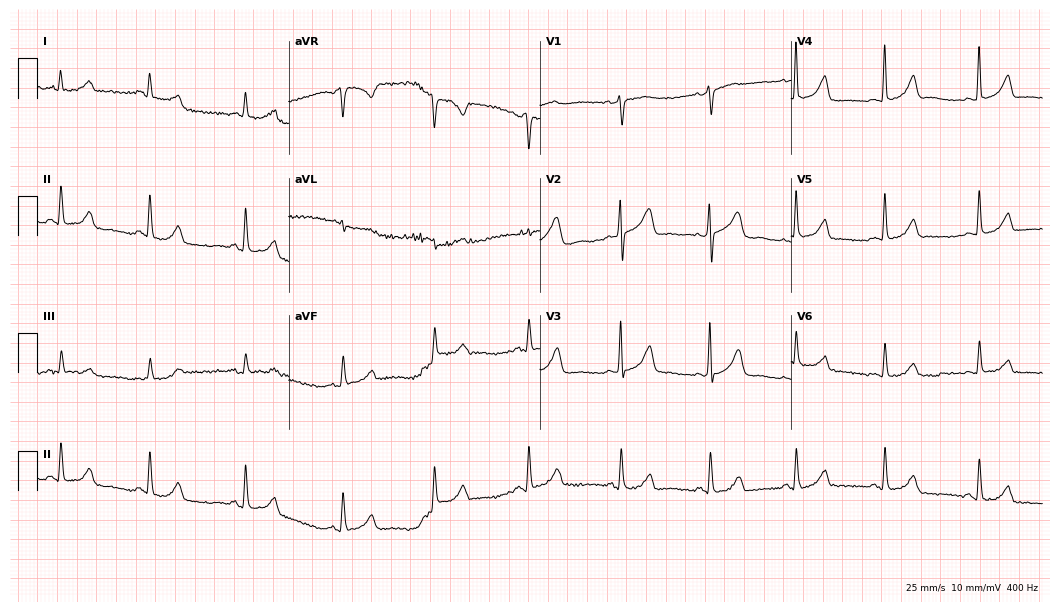
ECG (10.2-second recording at 400 Hz) — a woman, 57 years old. Screened for six findings — first-degree AV block, right bundle branch block, left bundle branch block, sinus bradycardia, atrial fibrillation, sinus tachycardia — none is recorded. Only these six findings were labelled.